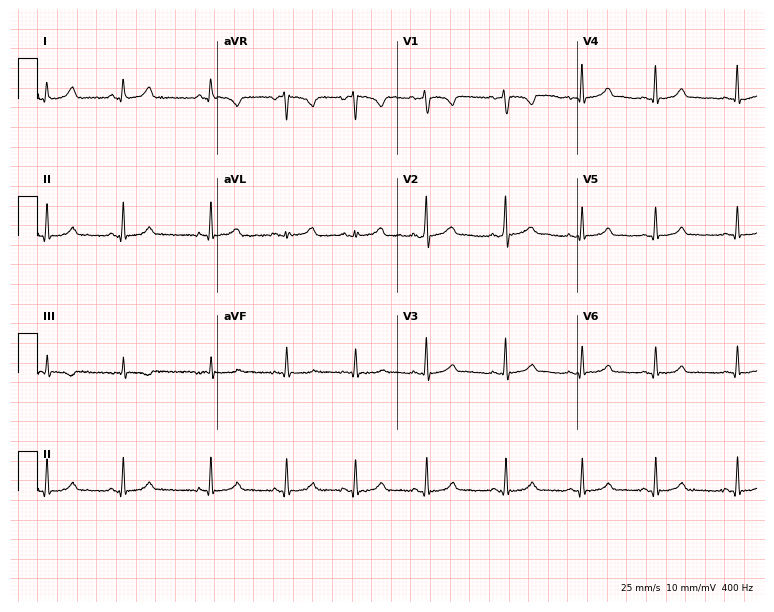
ECG — a female patient, 20 years old. Labelled as a normal ECG.